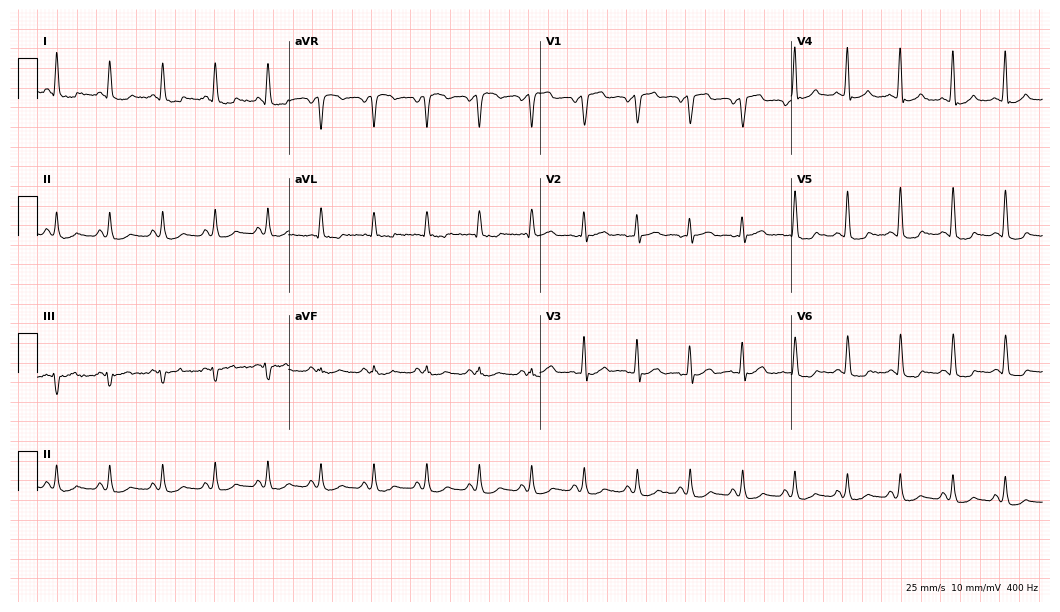
12-lead ECG from a 65-year-old male patient (10.2-second recording at 400 Hz). Shows sinus tachycardia (a sinus rate of 100 beats per minute or more).